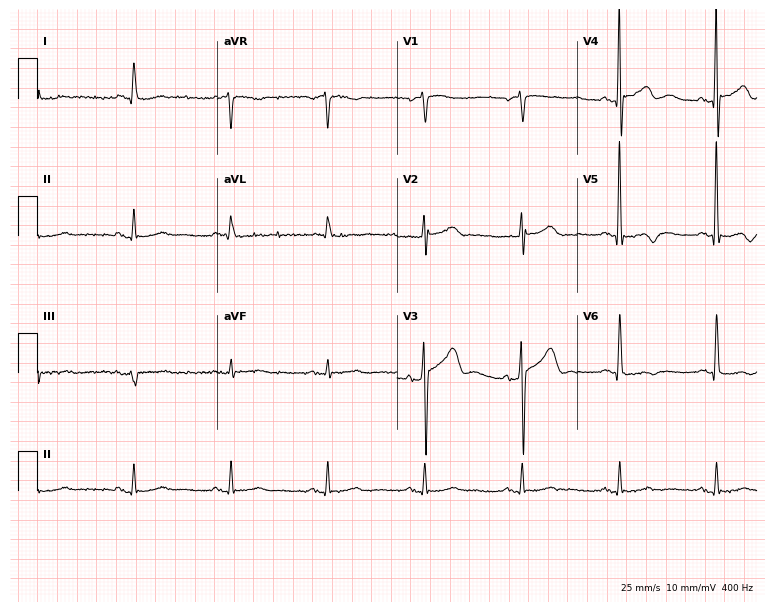
12-lead ECG from a 72-year-old male patient. No first-degree AV block, right bundle branch block, left bundle branch block, sinus bradycardia, atrial fibrillation or sinus tachycardia recorded for this tracing. Findings outside these six are not listed.